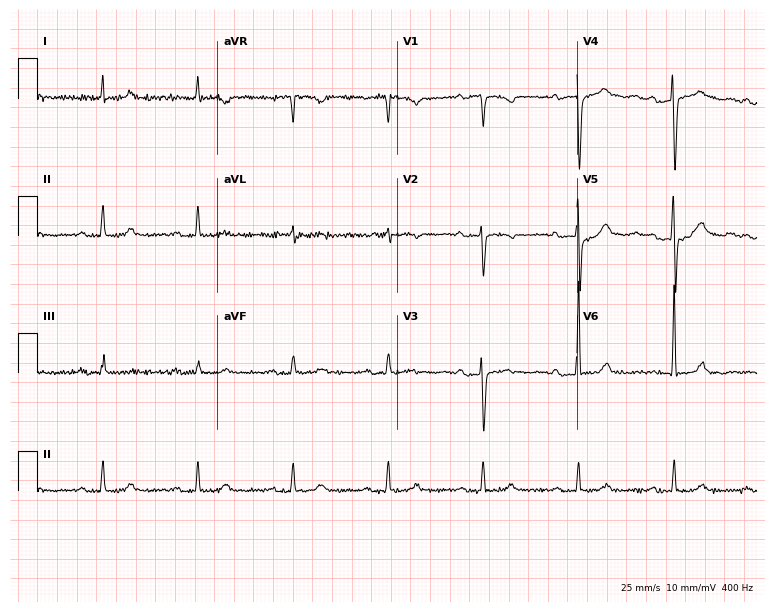
Resting 12-lead electrocardiogram. Patient: a woman, 78 years old. None of these six findings is recorded: first-degree AV block, right bundle branch block (RBBB), left bundle branch block (LBBB), sinus bradycardia, atrial fibrillation (AF), sinus tachycardia.